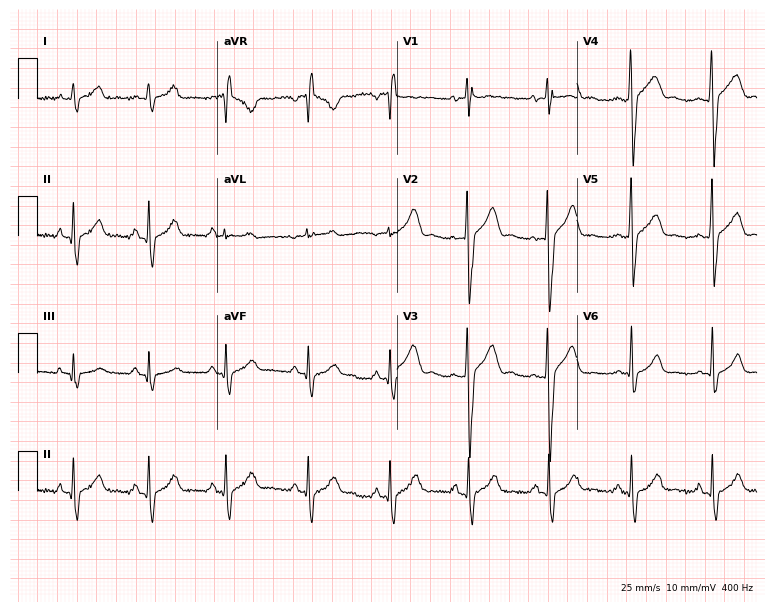
Electrocardiogram (7.3-second recording at 400 Hz), a 21-year-old man. Of the six screened findings (first-degree AV block, right bundle branch block (RBBB), left bundle branch block (LBBB), sinus bradycardia, atrial fibrillation (AF), sinus tachycardia), none is recorded. Findings outside these six are not listed.